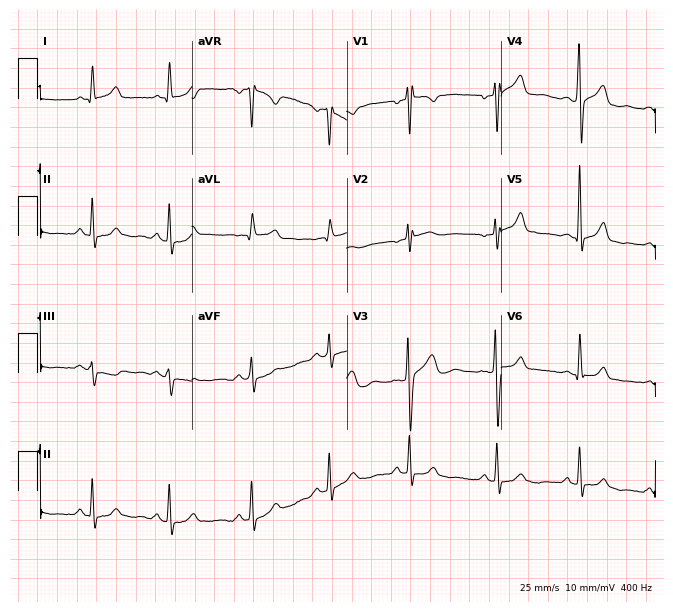
Resting 12-lead electrocardiogram (6.3-second recording at 400 Hz). Patient: a 22-year-old female. None of these six findings is recorded: first-degree AV block, right bundle branch block (RBBB), left bundle branch block (LBBB), sinus bradycardia, atrial fibrillation (AF), sinus tachycardia. Other findings, if any, are not listed.